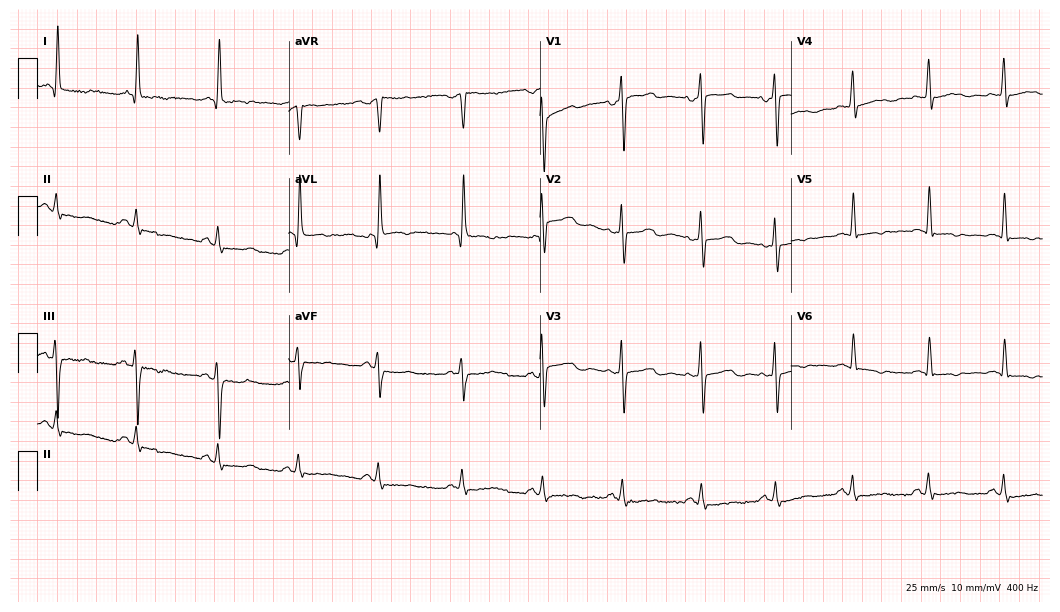
ECG (10.2-second recording at 400 Hz) — a 73-year-old female. Screened for six findings — first-degree AV block, right bundle branch block (RBBB), left bundle branch block (LBBB), sinus bradycardia, atrial fibrillation (AF), sinus tachycardia — none is recorded. Only these six findings were labelled.